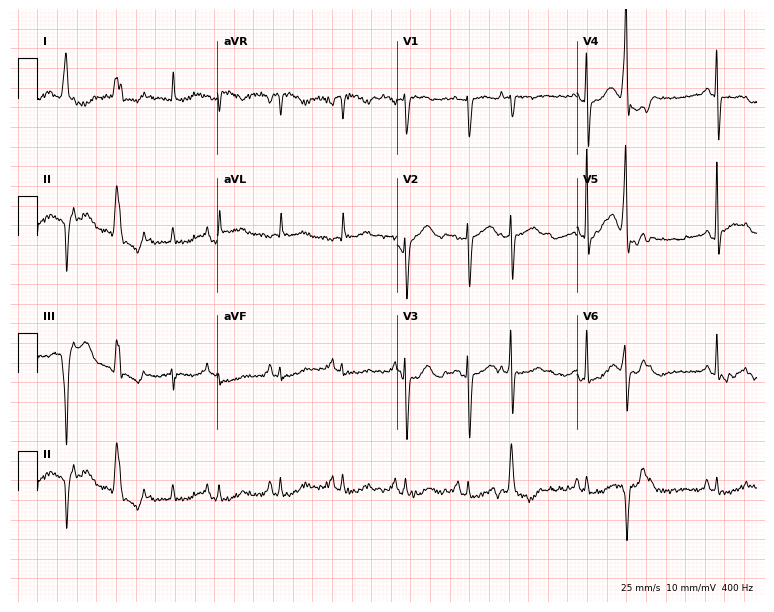
12-lead ECG from an 81-year-old female. Screened for six findings — first-degree AV block, right bundle branch block (RBBB), left bundle branch block (LBBB), sinus bradycardia, atrial fibrillation (AF), sinus tachycardia — none is recorded.